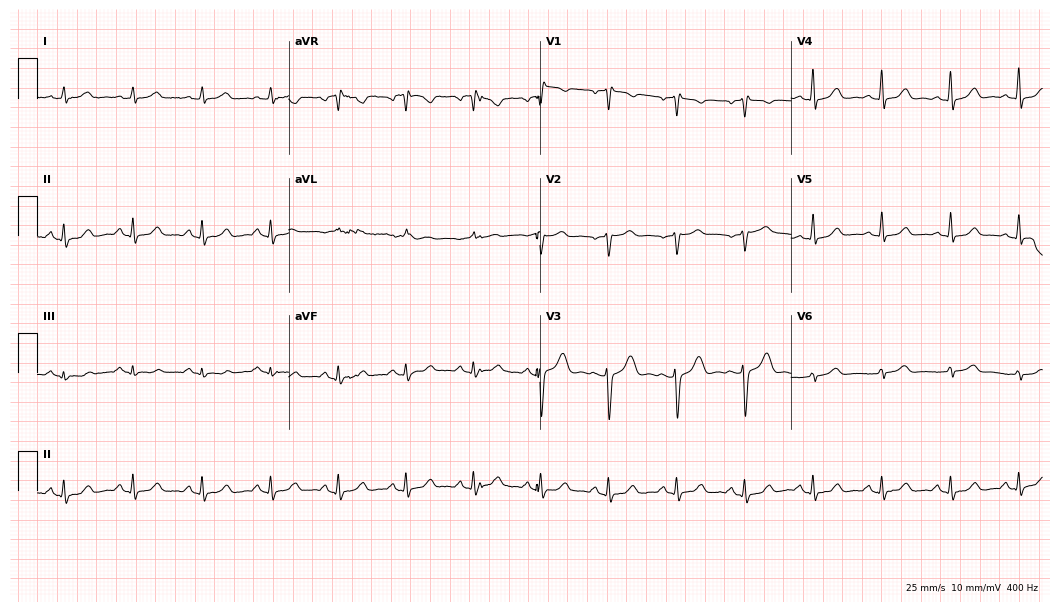
12-lead ECG from a 42-year-old female. Labelled as a normal ECG.